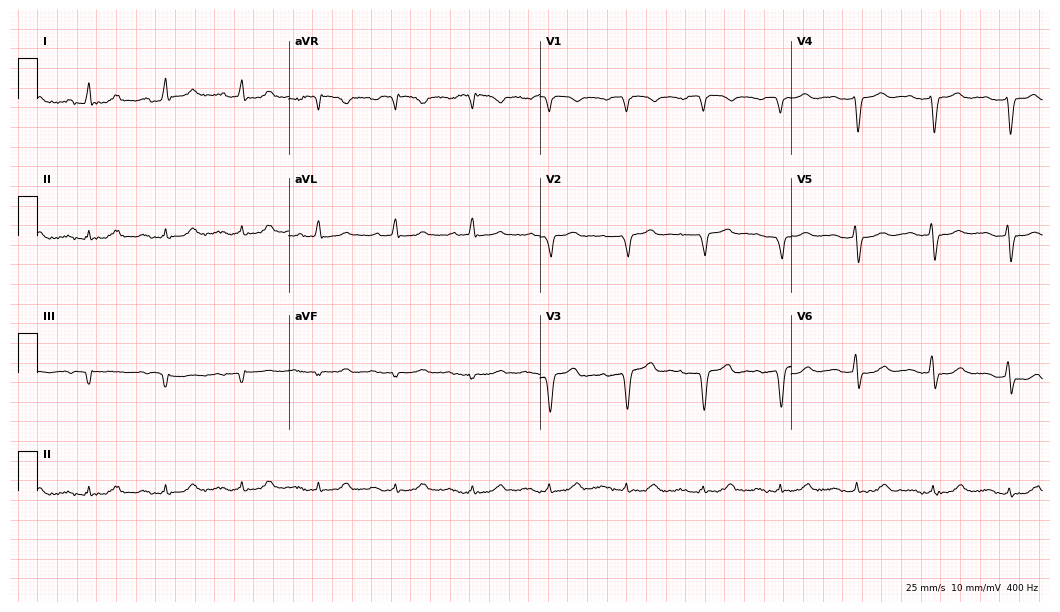
Resting 12-lead electrocardiogram (10.2-second recording at 400 Hz). Patient: a 67-year-old male. The tracing shows first-degree AV block.